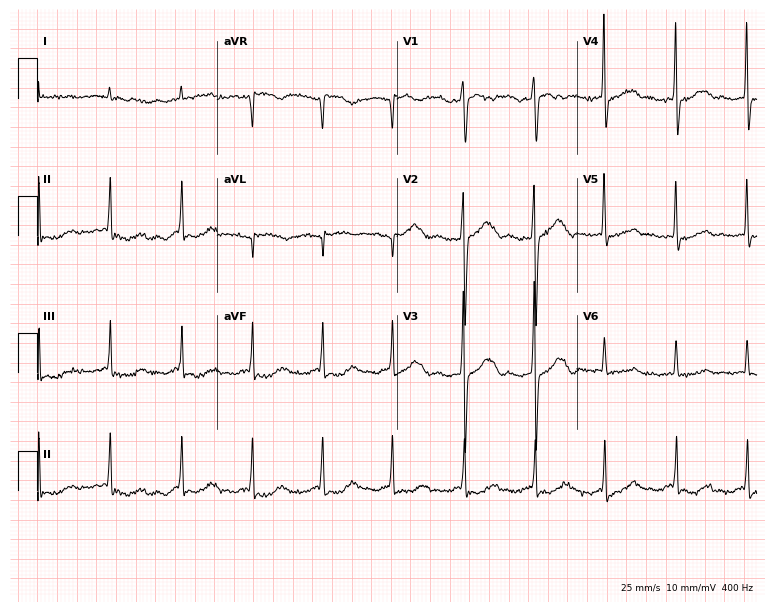
12-lead ECG (7.3-second recording at 400 Hz) from an 81-year-old male patient. Screened for six findings — first-degree AV block, right bundle branch block, left bundle branch block, sinus bradycardia, atrial fibrillation, sinus tachycardia — none is recorded. Only these six findings were labelled.